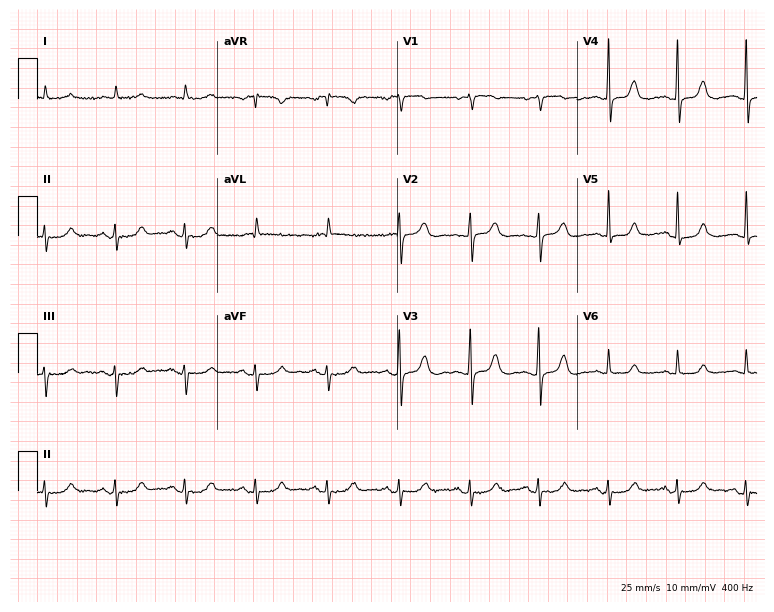
Resting 12-lead electrocardiogram. Patient: a female, 81 years old. None of these six findings is recorded: first-degree AV block, right bundle branch block, left bundle branch block, sinus bradycardia, atrial fibrillation, sinus tachycardia. Findings outside these six are not listed.